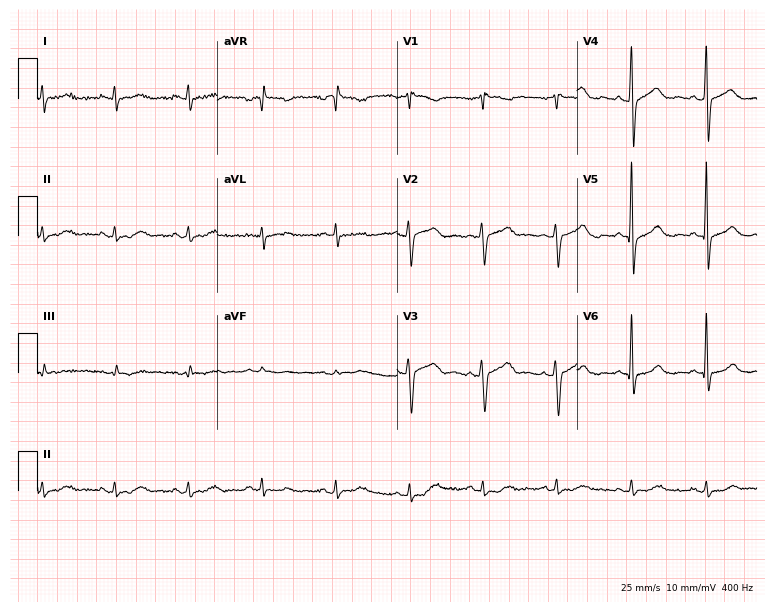
Electrocardiogram, a 49-year-old woman. Overall reading on record: normal ECG.